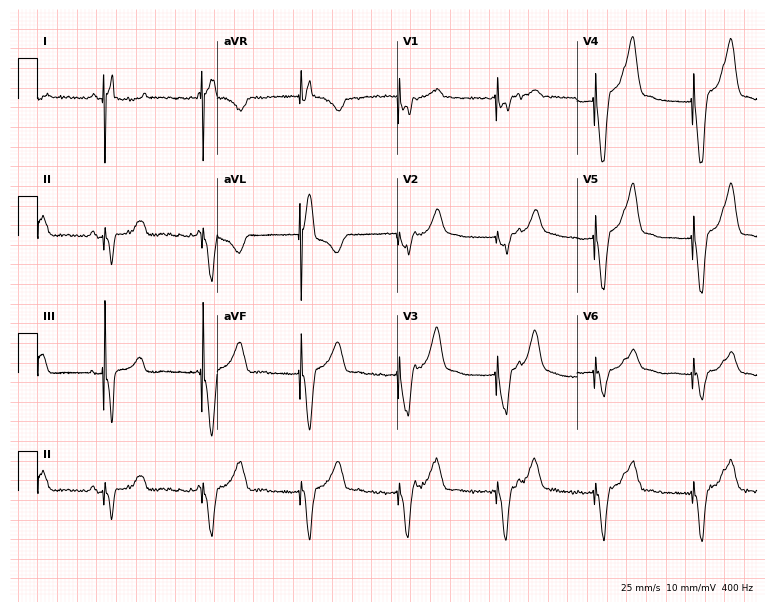
Electrocardiogram, a woman, 55 years old. Of the six screened findings (first-degree AV block, right bundle branch block (RBBB), left bundle branch block (LBBB), sinus bradycardia, atrial fibrillation (AF), sinus tachycardia), none is recorded. Findings outside these six are not listed.